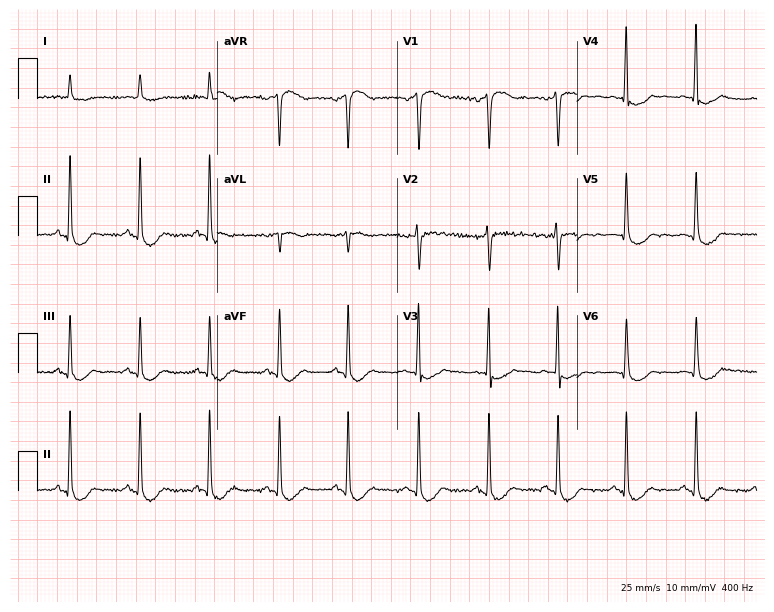
ECG (7.3-second recording at 400 Hz) — a female, 85 years old. Screened for six findings — first-degree AV block, right bundle branch block, left bundle branch block, sinus bradycardia, atrial fibrillation, sinus tachycardia — none is recorded. Other findings, if any, are not listed.